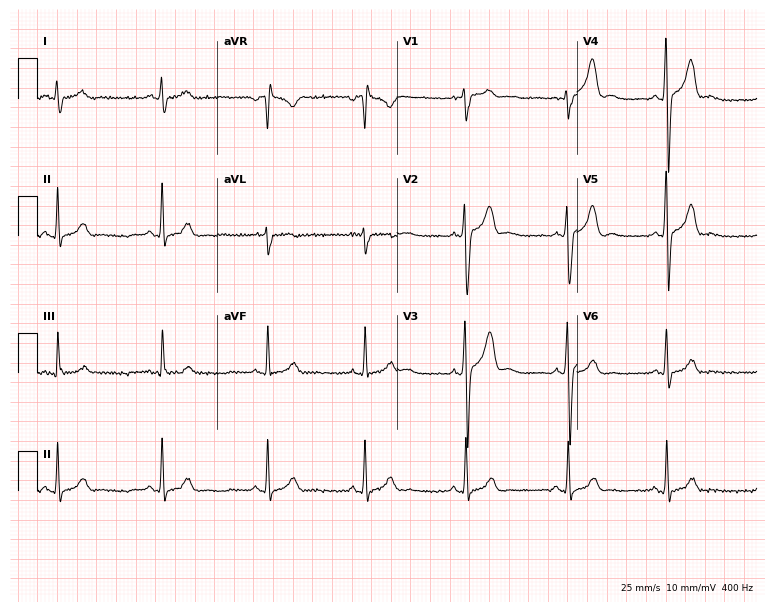
Electrocardiogram (7.3-second recording at 400 Hz), a 35-year-old male. Overall reading on record: normal ECG.